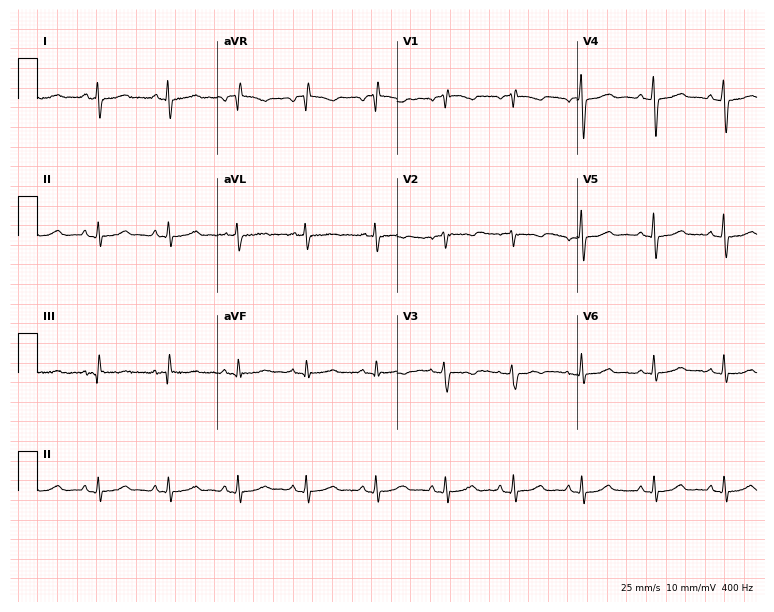
12-lead ECG from a 61-year-old female patient. Screened for six findings — first-degree AV block, right bundle branch block (RBBB), left bundle branch block (LBBB), sinus bradycardia, atrial fibrillation (AF), sinus tachycardia — none is recorded.